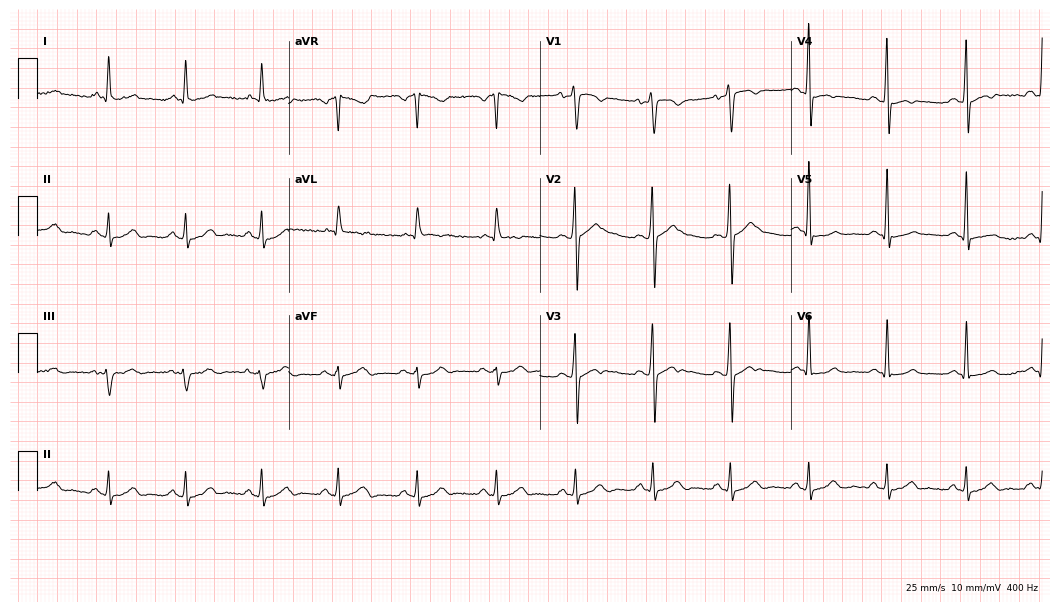
Electrocardiogram, a man, 39 years old. Overall reading on record: normal ECG.